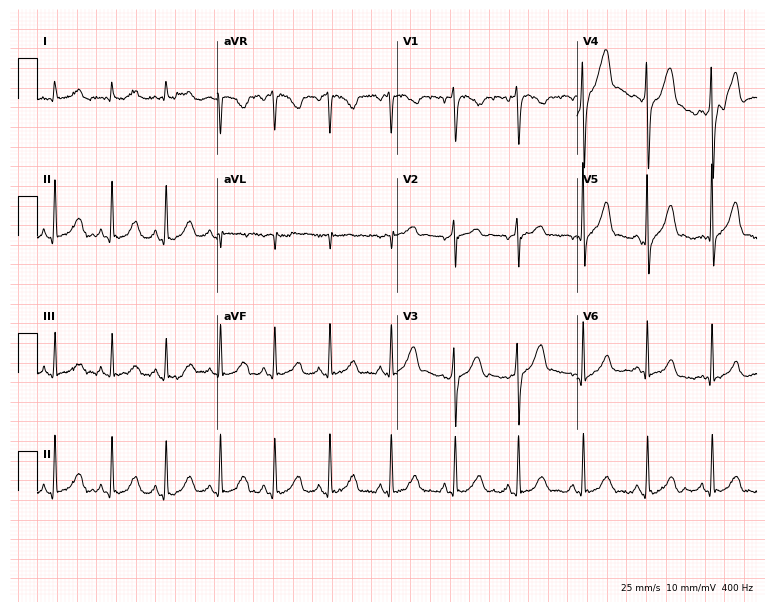
12-lead ECG from a 41-year-old male patient. Labelled as a normal ECG.